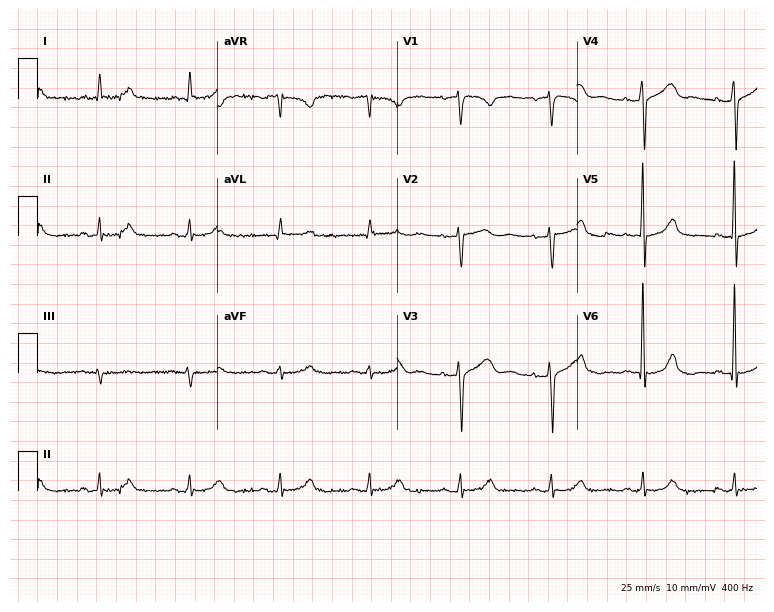
ECG — a man, 80 years old. Screened for six findings — first-degree AV block, right bundle branch block, left bundle branch block, sinus bradycardia, atrial fibrillation, sinus tachycardia — none is recorded. Other findings, if any, are not listed.